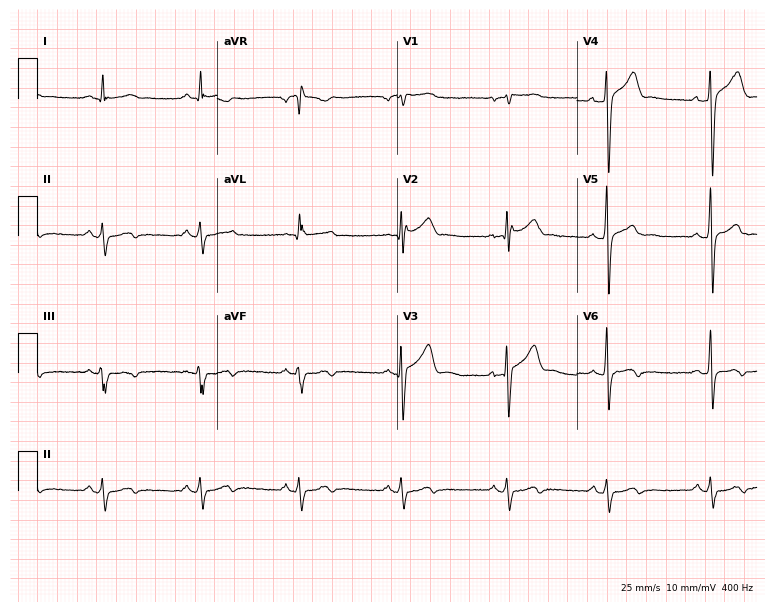
Standard 12-lead ECG recorded from a male patient, 25 years old. Read as a normal ECG.